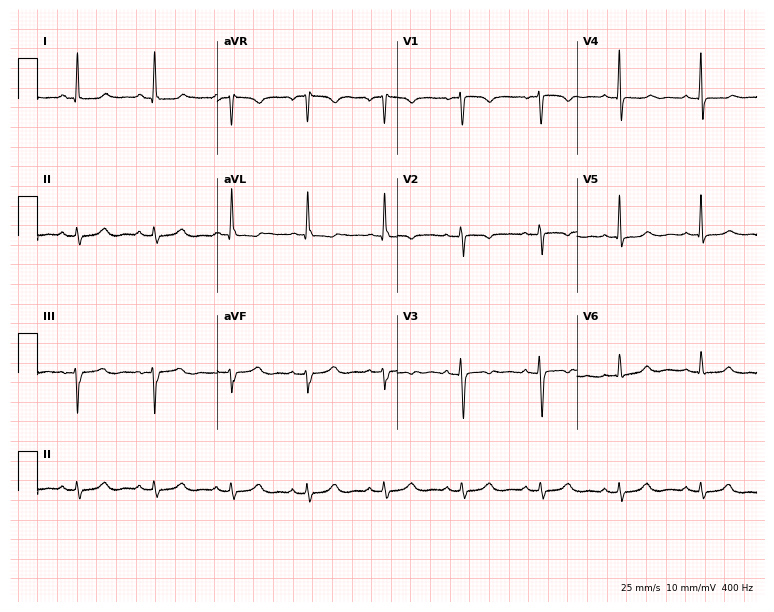
12-lead ECG from a 43-year-old female patient (7.3-second recording at 400 Hz). No first-degree AV block, right bundle branch block (RBBB), left bundle branch block (LBBB), sinus bradycardia, atrial fibrillation (AF) or sinus tachycardia recorded for this tracing. Findings outside these six are not listed.